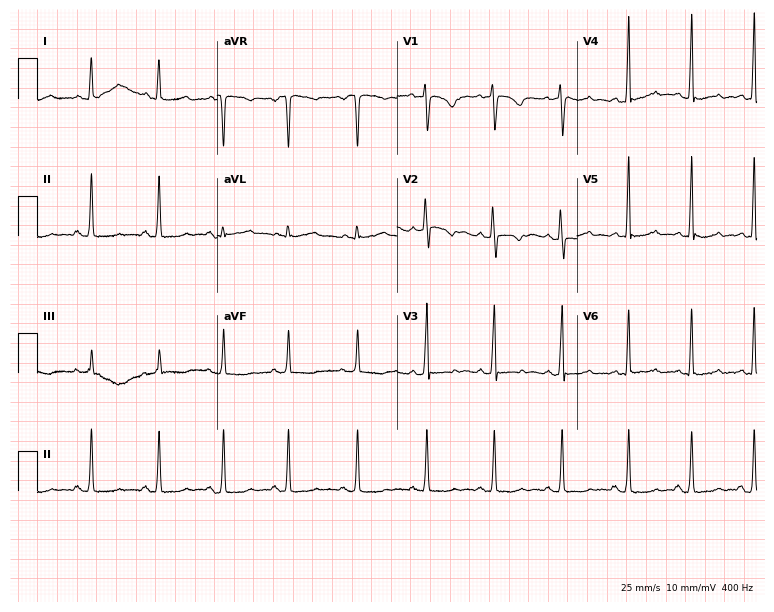
12-lead ECG from a woman, 27 years old. No first-degree AV block, right bundle branch block, left bundle branch block, sinus bradycardia, atrial fibrillation or sinus tachycardia recorded for this tracing.